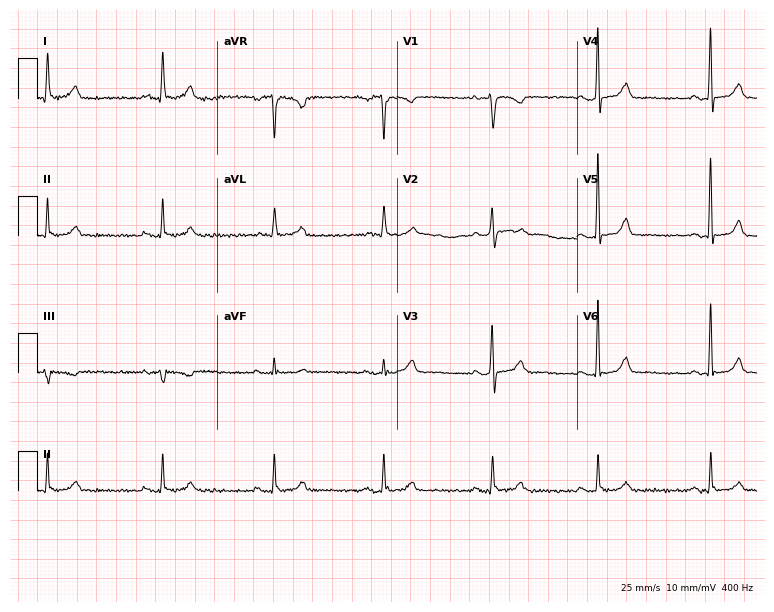
12-lead ECG from a 70-year-old male. Recorded interpretation: within normal limits.